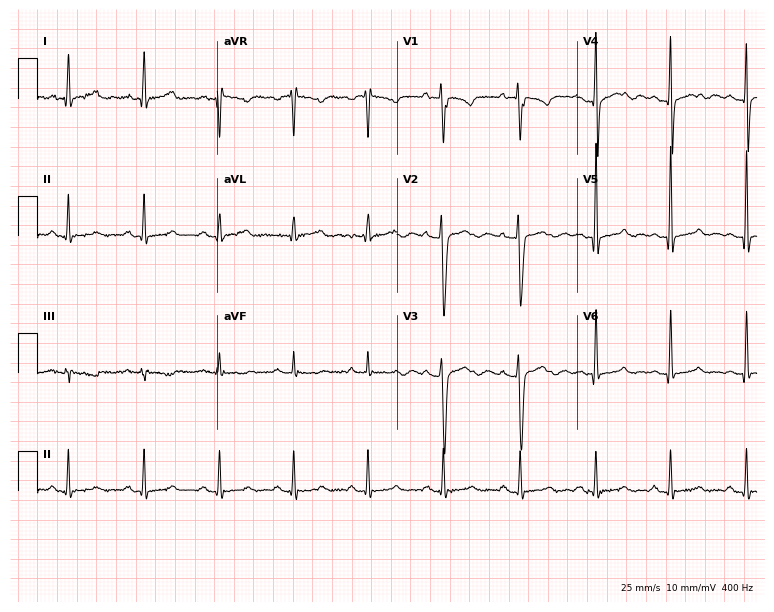
ECG (7.3-second recording at 400 Hz) — a 24-year-old man. Screened for six findings — first-degree AV block, right bundle branch block, left bundle branch block, sinus bradycardia, atrial fibrillation, sinus tachycardia — none is recorded.